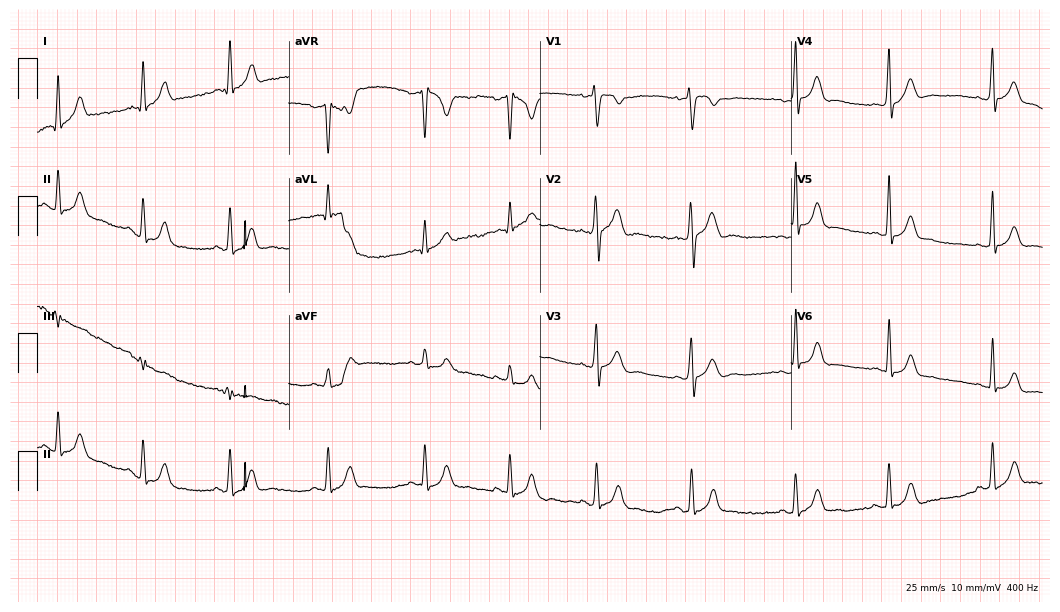
ECG — a man, 18 years old. Screened for six findings — first-degree AV block, right bundle branch block (RBBB), left bundle branch block (LBBB), sinus bradycardia, atrial fibrillation (AF), sinus tachycardia — none is recorded.